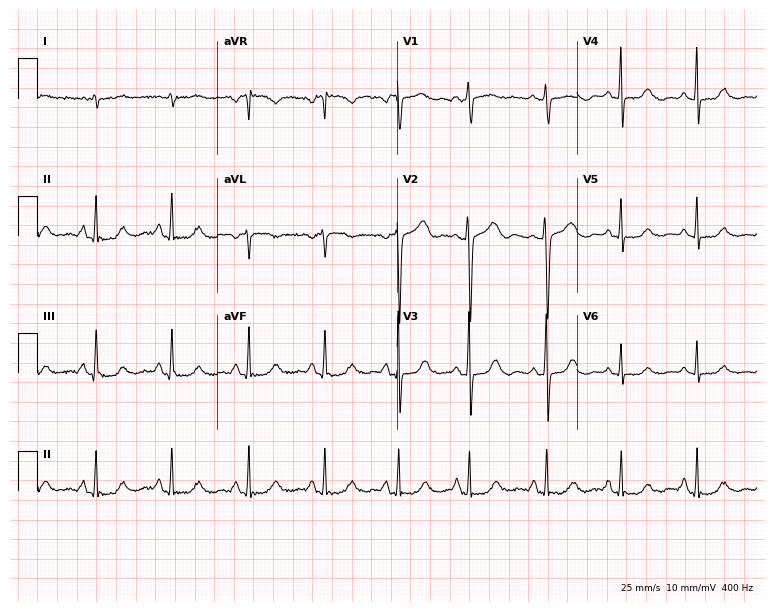
Electrocardiogram, a 63-year-old woman. Overall reading on record: normal ECG.